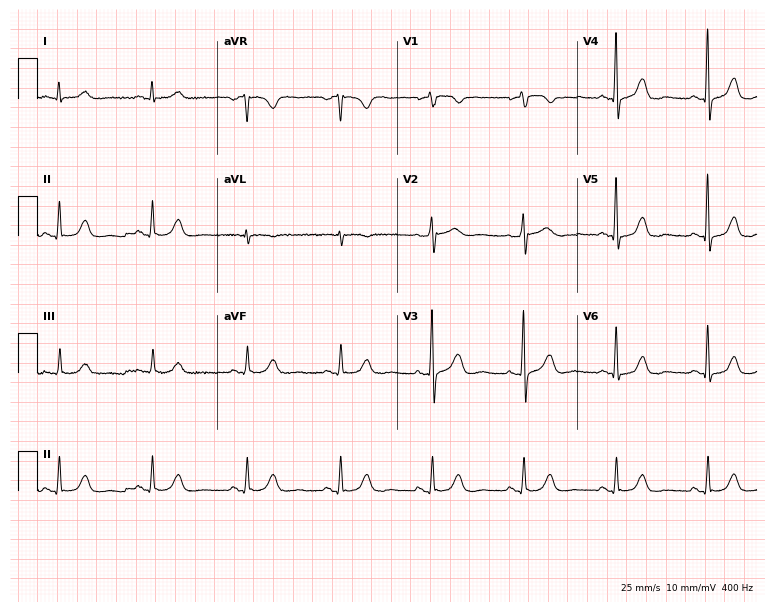
Electrocardiogram (7.3-second recording at 400 Hz), a female, 72 years old. Of the six screened findings (first-degree AV block, right bundle branch block (RBBB), left bundle branch block (LBBB), sinus bradycardia, atrial fibrillation (AF), sinus tachycardia), none is recorded. Other findings, if any, are not listed.